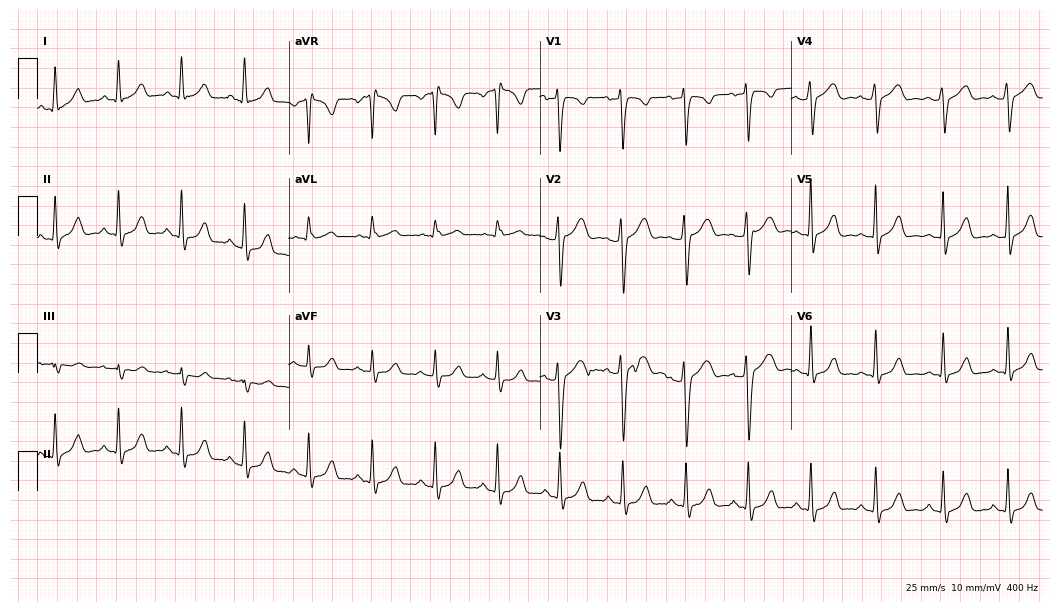
ECG (10.2-second recording at 400 Hz) — a 32-year-old woman. Screened for six findings — first-degree AV block, right bundle branch block, left bundle branch block, sinus bradycardia, atrial fibrillation, sinus tachycardia — none is recorded. Findings outside these six are not listed.